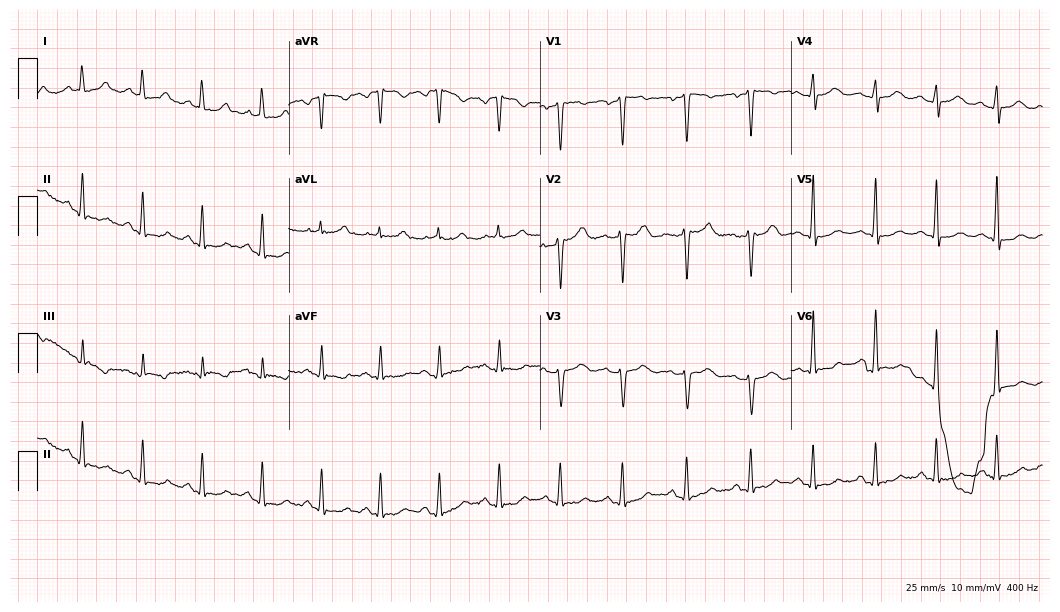
Resting 12-lead electrocardiogram (10.2-second recording at 400 Hz). Patient: a 48-year-old female. None of these six findings is recorded: first-degree AV block, right bundle branch block, left bundle branch block, sinus bradycardia, atrial fibrillation, sinus tachycardia.